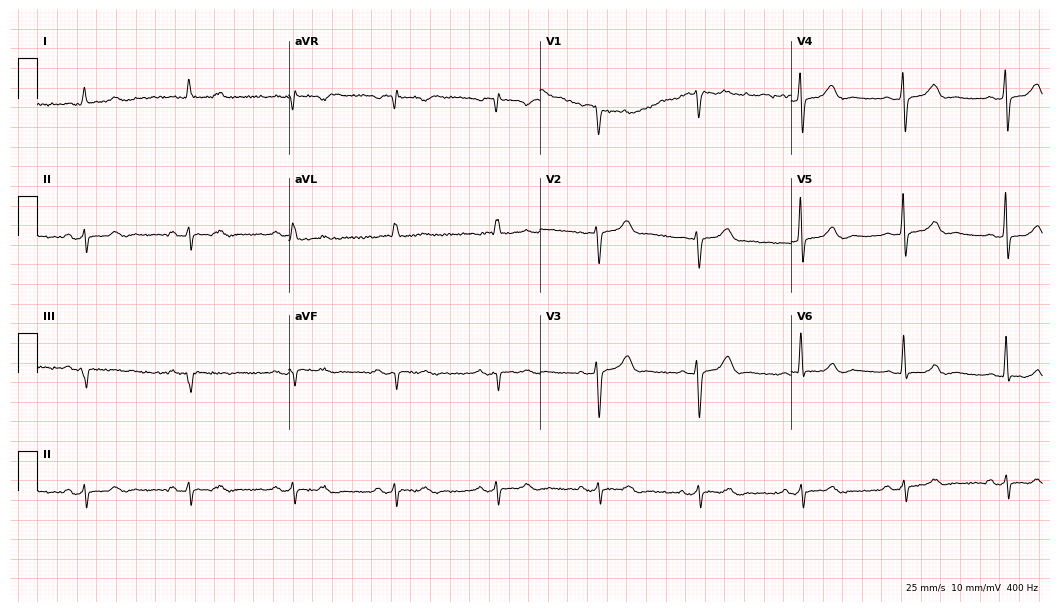
Electrocardiogram (10.2-second recording at 400 Hz), a 75-year-old man. Of the six screened findings (first-degree AV block, right bundle branch block, left bundle branch block, sinus bradycardia, atrial fibrillation, sinus tachycardia), none is recorded. Findings outside these six are not listed.